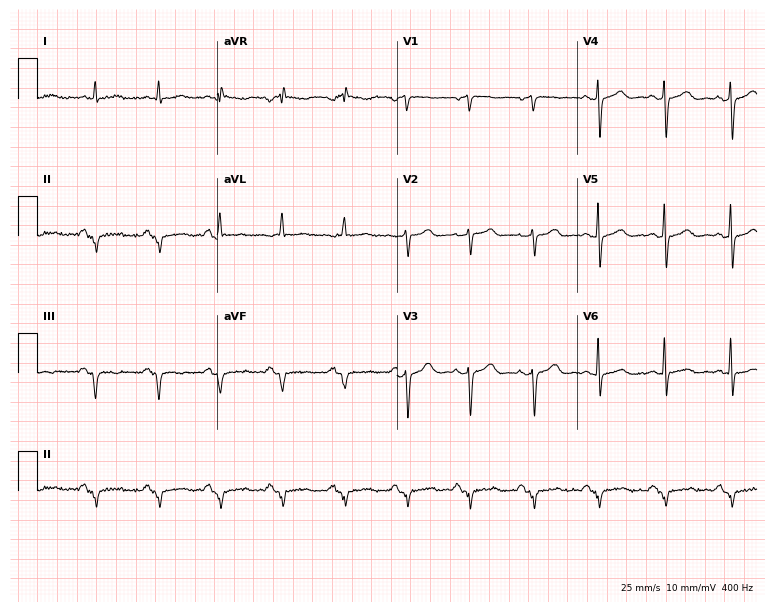
Electrocardiogram (7.3-second recording at 400 Hz), an 82-year-old male. Of the six screened findings (first-degree AV block, right bundle branch block (RBBB), left bundle branch block (LBBB), sinus bradycardia, atrial fibrillation (AF), sinus tachycardia), none is recorded. Findings outside these six are not listed.